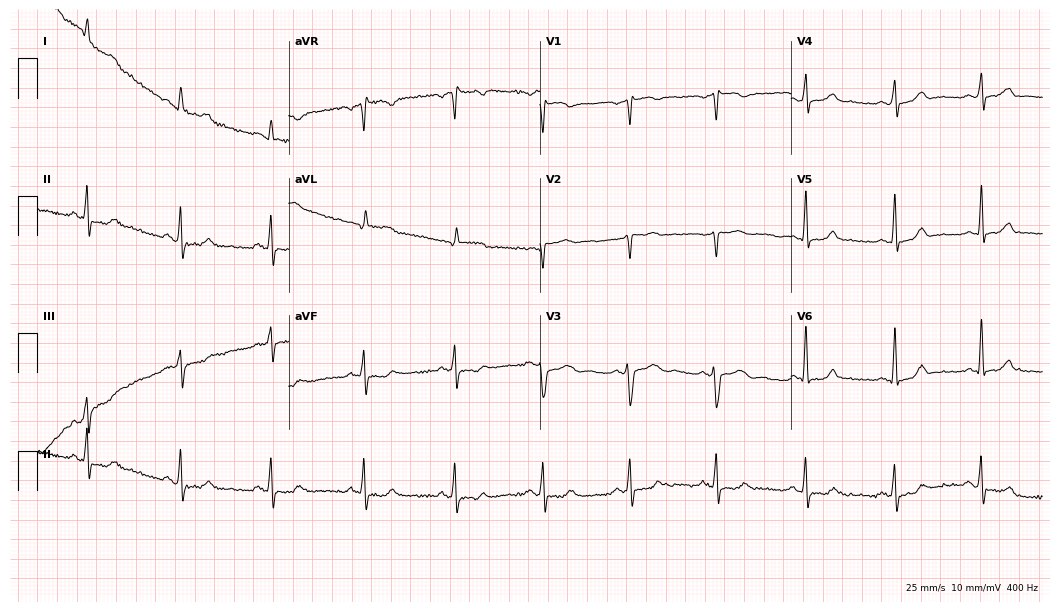
Resting 12-lead electrocardiogram. Patient: a female, 44 years old. None of these six findings is recorded: first-degree AV block, right bundle branch block (RBBB), left bundle branch block (LBBB), sinus bradycardia, atrial fibrillation (AF), sinus tachycardia.